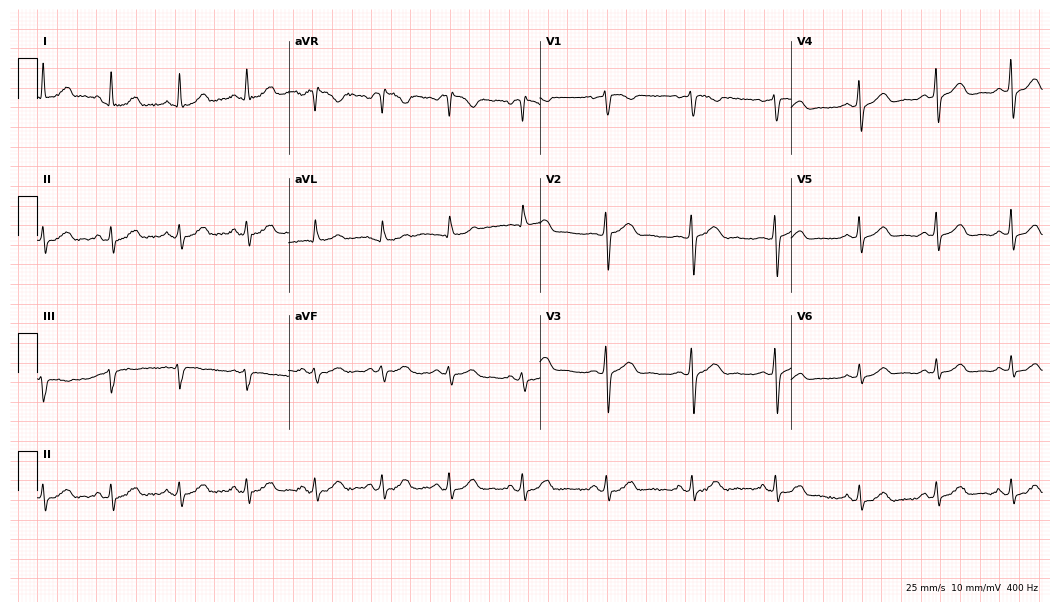
Standard 12-lead ECG recorded from a female patient, 48 years old (10.2-second recording at 400 Hz). None of these six findings is recorded: first-degree AV block, right bundle branch block, left bundle branch block, sinus bradycardia, atrial fibrillation, sinus tachycardia.